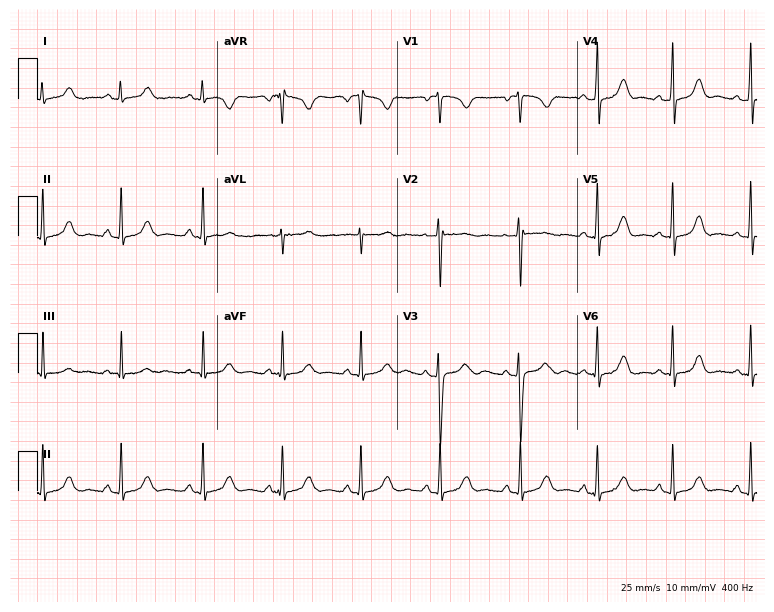
ECG (7.3-second recording at 400 Hz) — a woman, 23 years old. Labelled as a normal ECG.